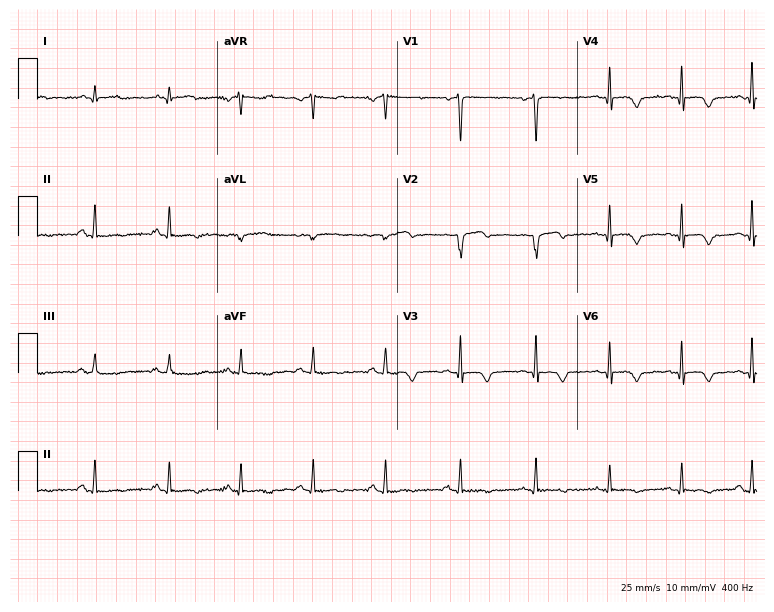
Resting 12-lead electrocardiogram. Patient: a 49-year-old woman. None of these six findings is recorded: first-degree AV block, right bundle branch block (RBBB), left bundle branch block (LBBB), sinus bradycardia, atrial fibrillation (AF), sinus tachycardia.